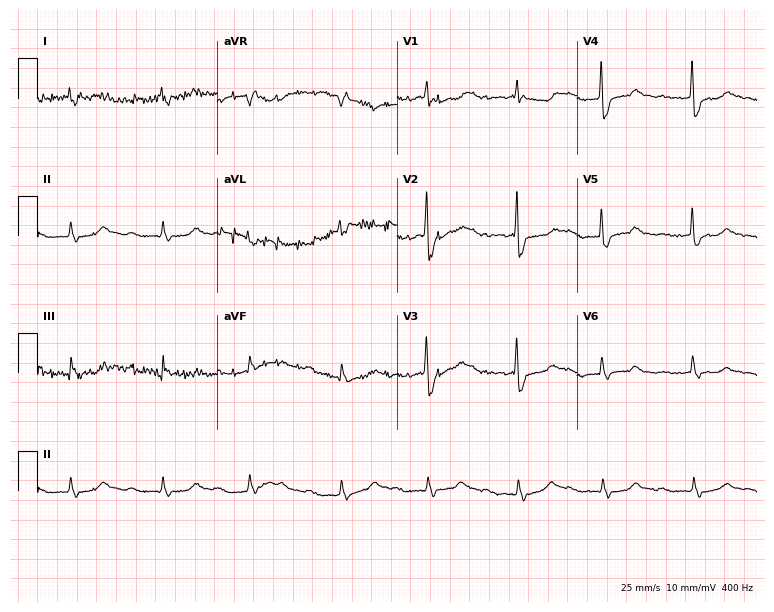
12-lead ECG from an 83-year-old male patient. Screened for six findings — first-degree AV block, right bundle branch block, left bundle branch block, sinus bradycardia, atrial fibrillation, sinus tachycardia — none is recorded.